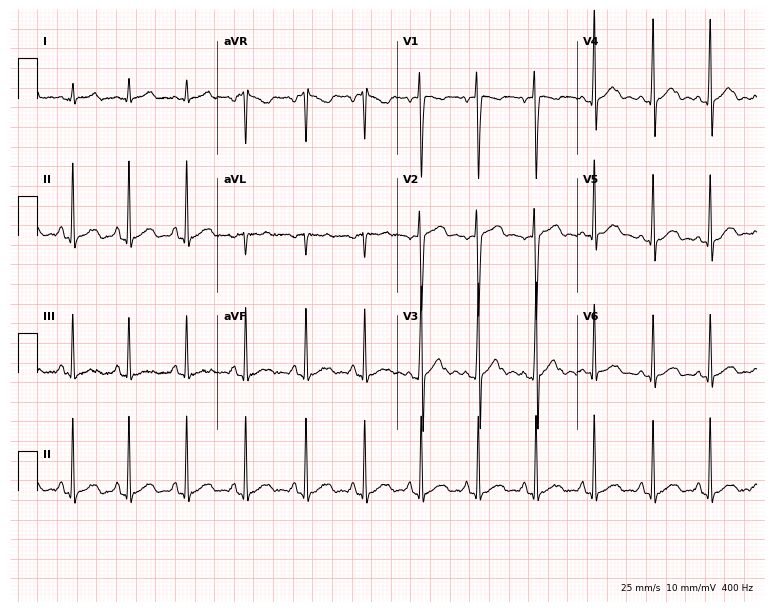
Electrocardiogram (7.3-second recording at 400 Hz), an 18-year-old male patient. Overall reading on record: normal ECG.